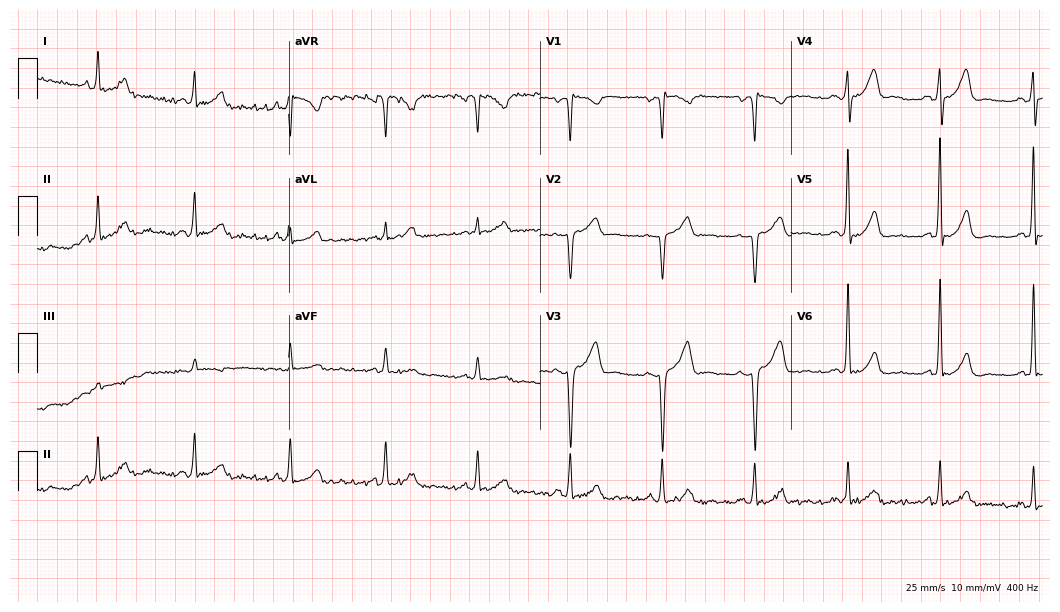
Standard 12-lead ECG recorded from a 59-year-old male (10.2-second recording at 400 Hz). None of these six findings is recorded: first-degree AV block, right bundle branch block (RBBB), left bundle branch block (LBBB), sinus bradycardia, atrial fibrillation (AF), sinus tachycardia. Findings outside these six are not listed.